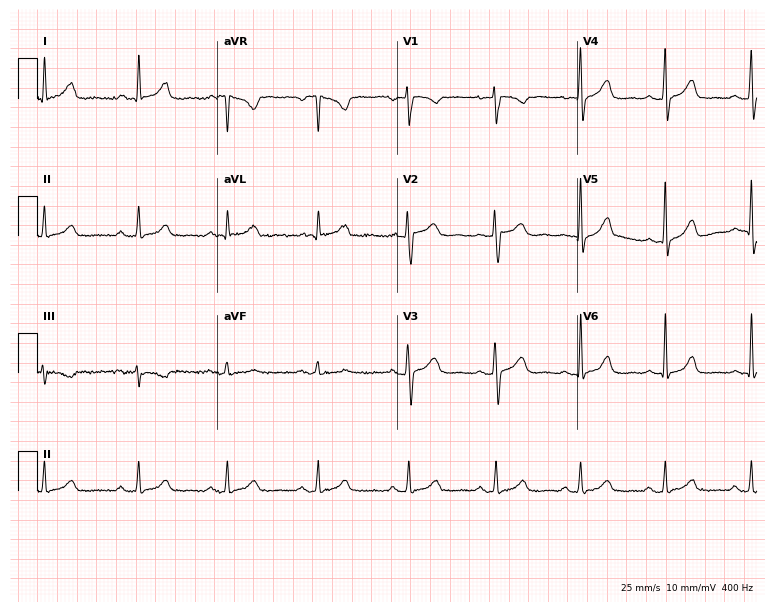
12-lead ECG from a female, 43 years old. No first-degree AV block, right bundle branch block, left bundle branch block, sinus bradycardia, atrial fibrillation or sinus tachycardia recorded for this tracing. Other findings, if any, are not listed.